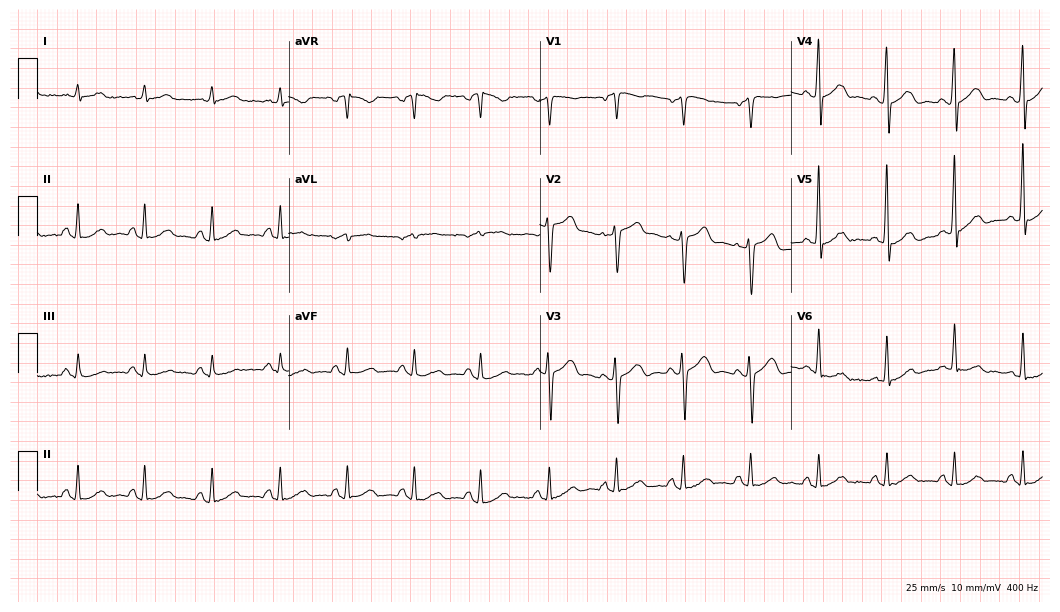
12-lead ECG from a man, 47 years old. Labelled as a normal ECG.